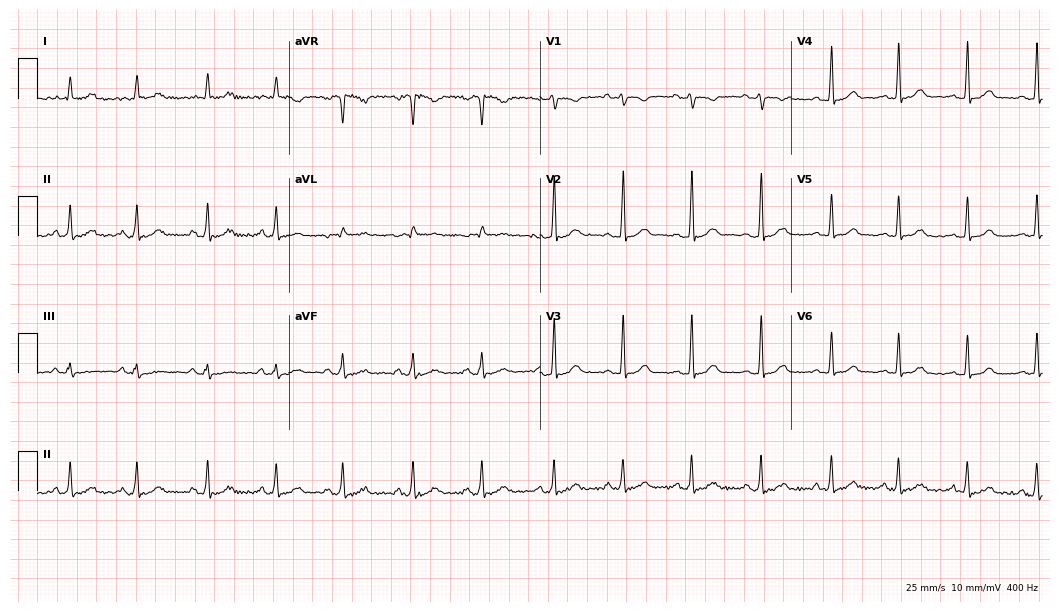
Electrocardiogram (10.2-second recording at 400 Hz), a female, 18 years old. Of the six screened findings (first-degree AV block, right bundle branch block, left bundle branch block, sinus bradycardia, atrial fibrillation, sinus tachycardia), none is recorded. Findings outside these six are not listed.